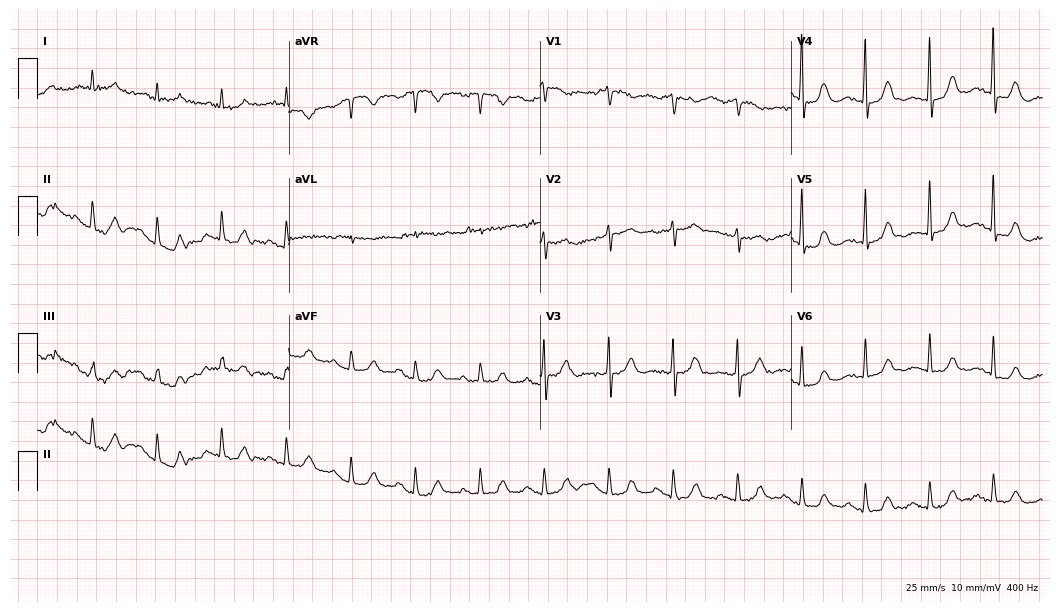
Electrocardiogram, a woman, 85 years old. Overall reading on record: normal ECG.